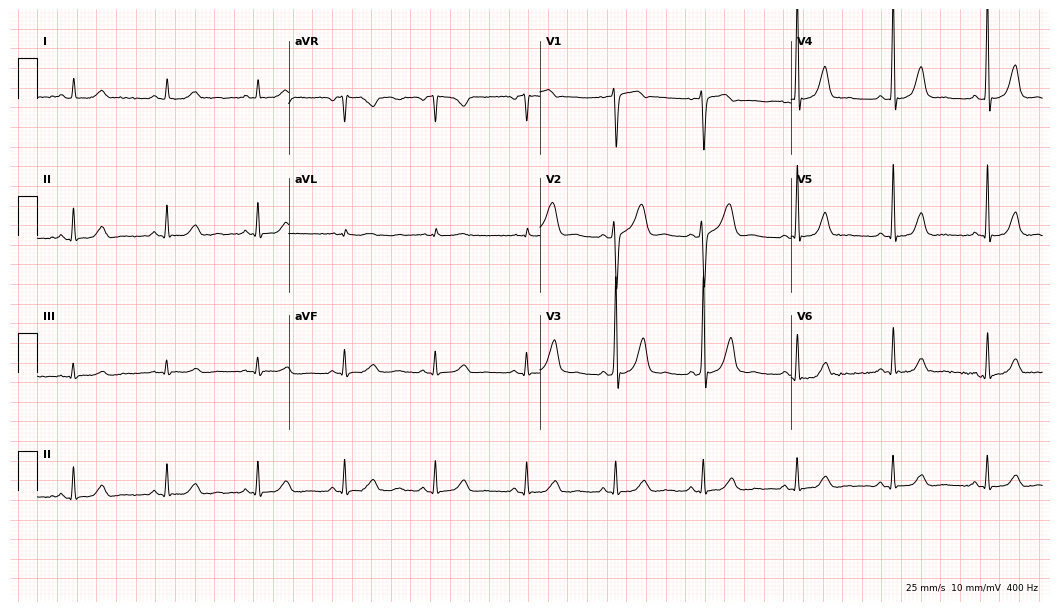
12-lead ECG from a 49-year-old woman (10.2-second recording at 400 Hz). Recorded interpretation: within normal limits.